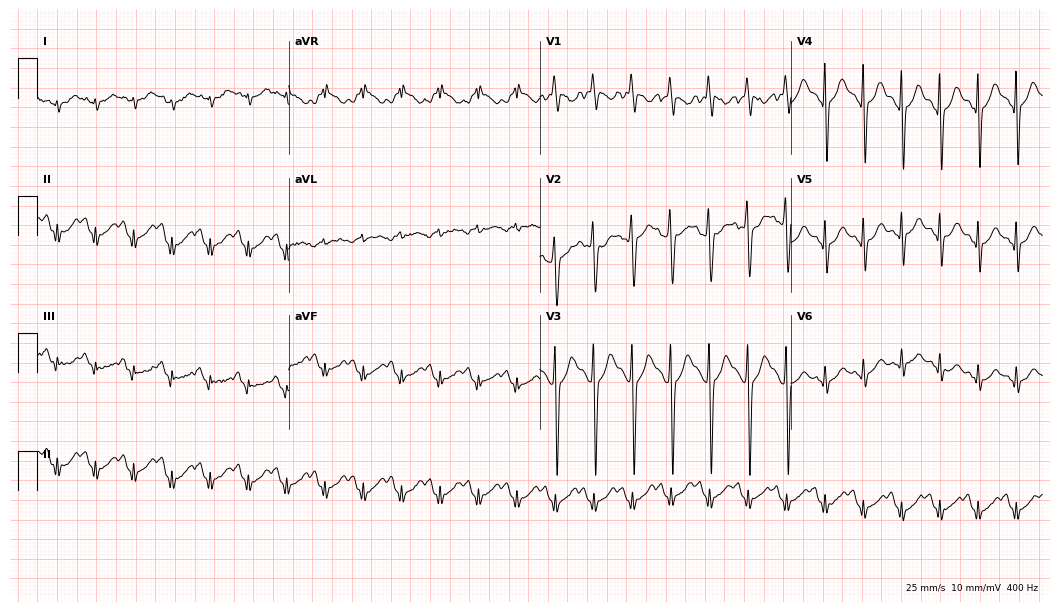
12-lead ECG from a male patient, 33 years old (10.2-second recording at 400 Hz). Shows sinus tachycardia (a sinus rate of 100 beats per minute or more).